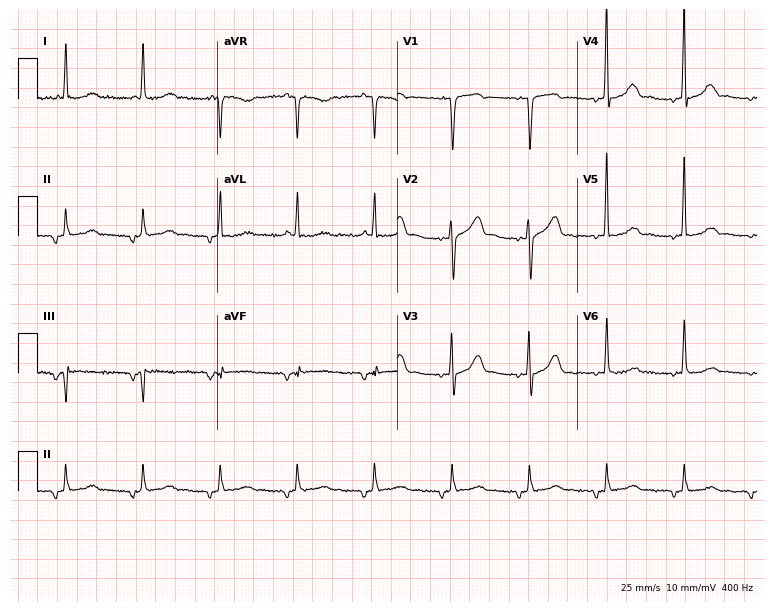
Standard 12-lead ECG recorded from a 72-year-old woman. None of these six findings is recorded: first-degree AV block, right bundle branch block (RBBB), left bundle branch block (LBBB), sinus bradycardia, atrial fibrillation (AF), sinus tachycardia. Other findings, if any, are not listed.